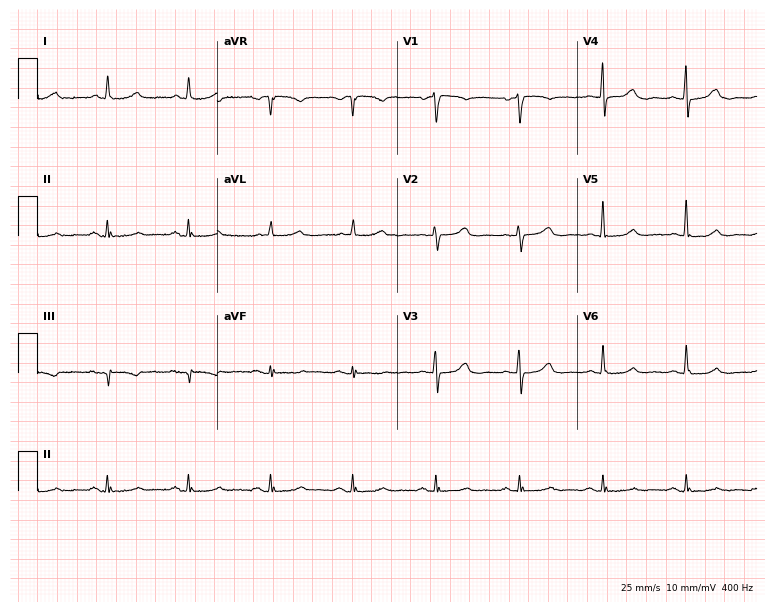
Standard 12-lead ECG recorded from a 74-year-old woman (7.3-second recording at 400 Hz). None of these six findings is recorded: first-degree AV block, right bundle branch block (RBBB), left bundle branch block (LBBB), sinus bradycardia, atrial fibrillation (AF), sinus tachycardia.